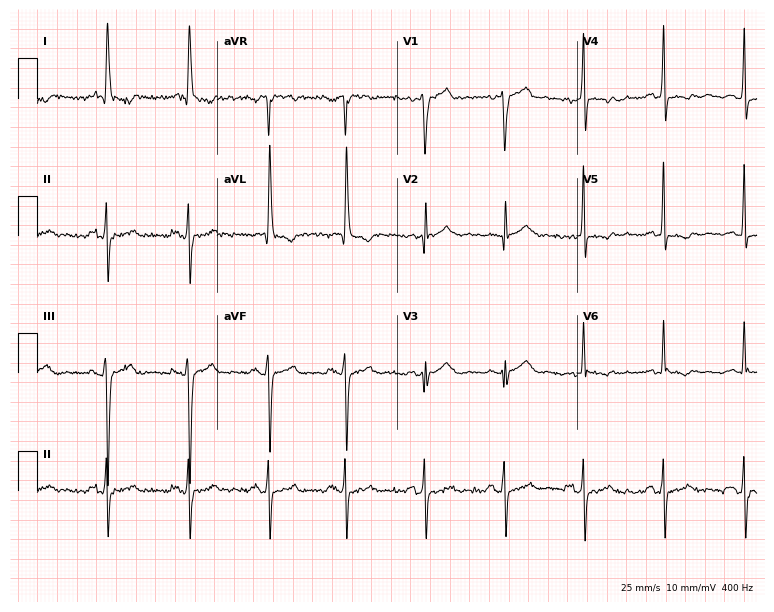
Electrocardiogram (7.3-second recording at 400 Hz), a 69-year-old female. Of the six screened findings (first-degree AV block, right bundle branch block, left bundle branch block, sinus bradycardia, atrial fibrillation, sinus tachycardia), none is recorded.